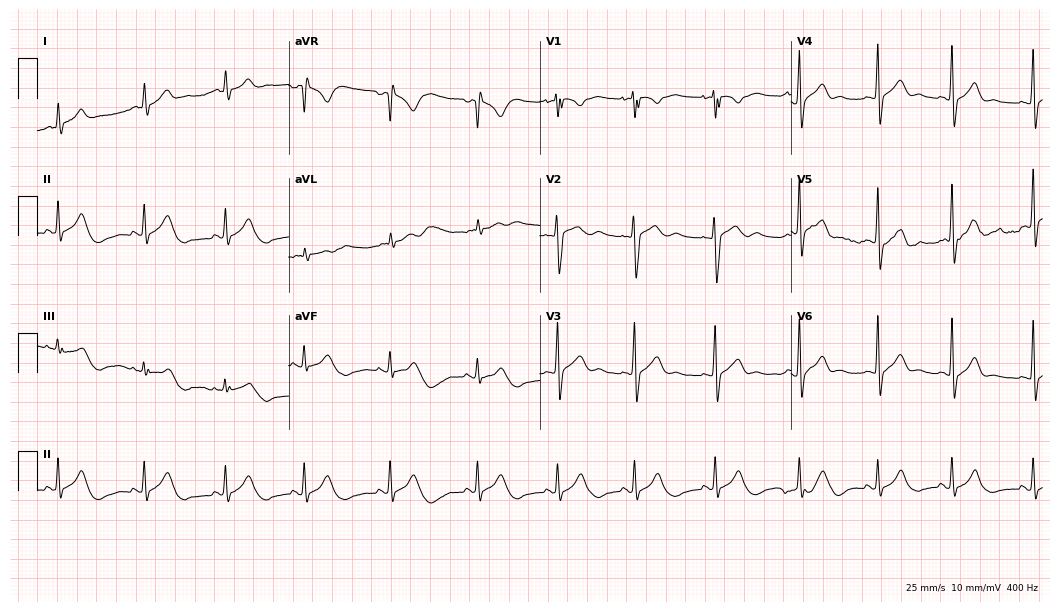
Standard 12-lead ECG recorded from an 18-year-old male. Read as a normal ECG.